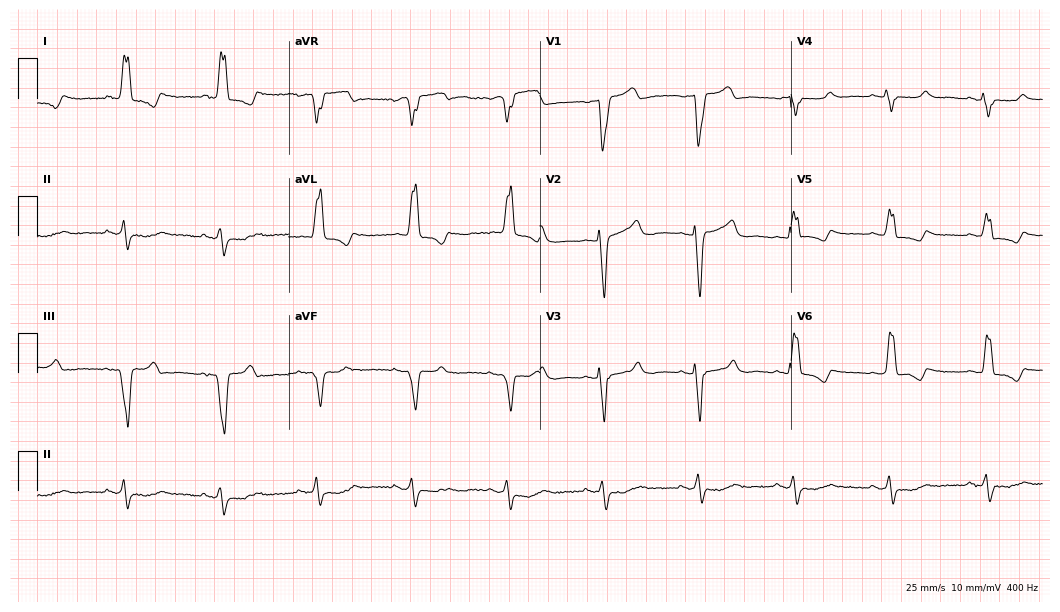
12-lead ECG from a female, 86 years old. Shows left bundle branch block.